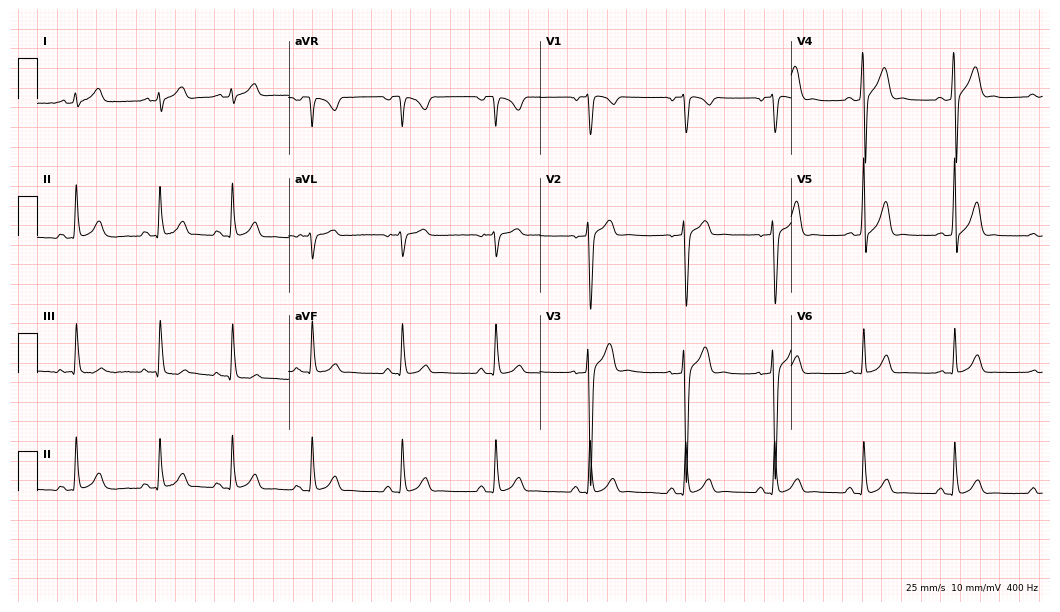
12-lead ECG from a 27-year-old male patient. Labelled as a normal ECG.